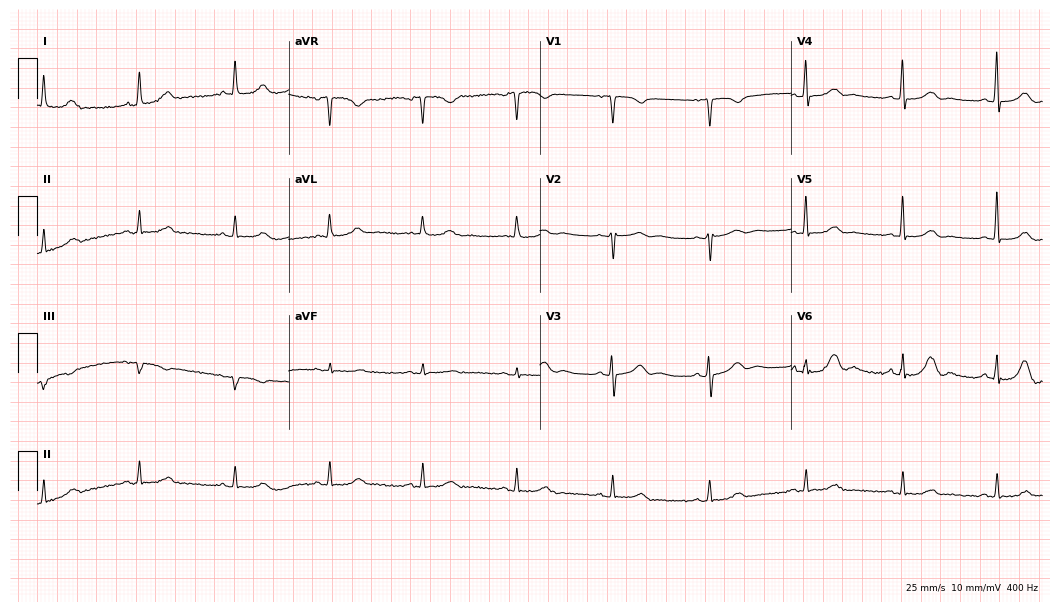
Electrocardiogram (10.2-second recording at 400 Hz), a 62-year-old woman. Overall reading on record: normal ECG.